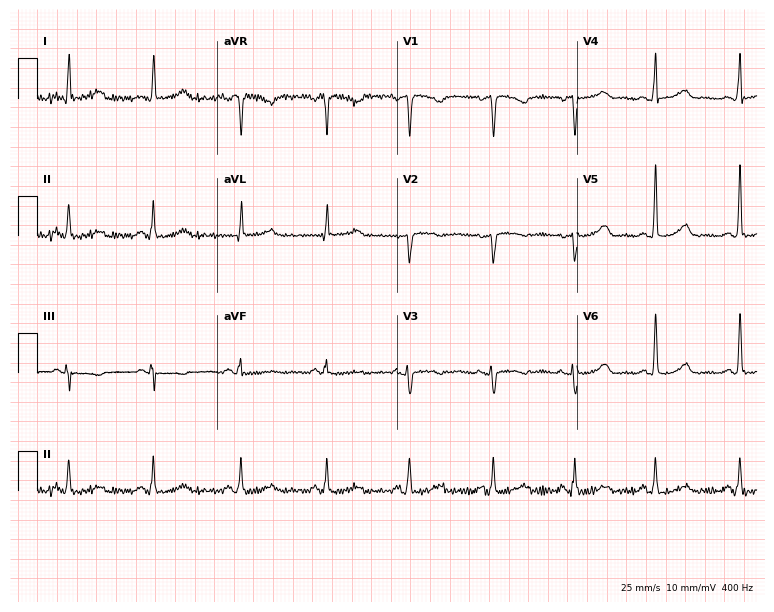
Standard 12-lead ECG recorded from a 36-year-old female patient. None of these six findings is recorded: first-degree AV block, right bundle branch block, left bundle branch block, sinus bradycardia, atrial fibrillation, sinus tachycardia.